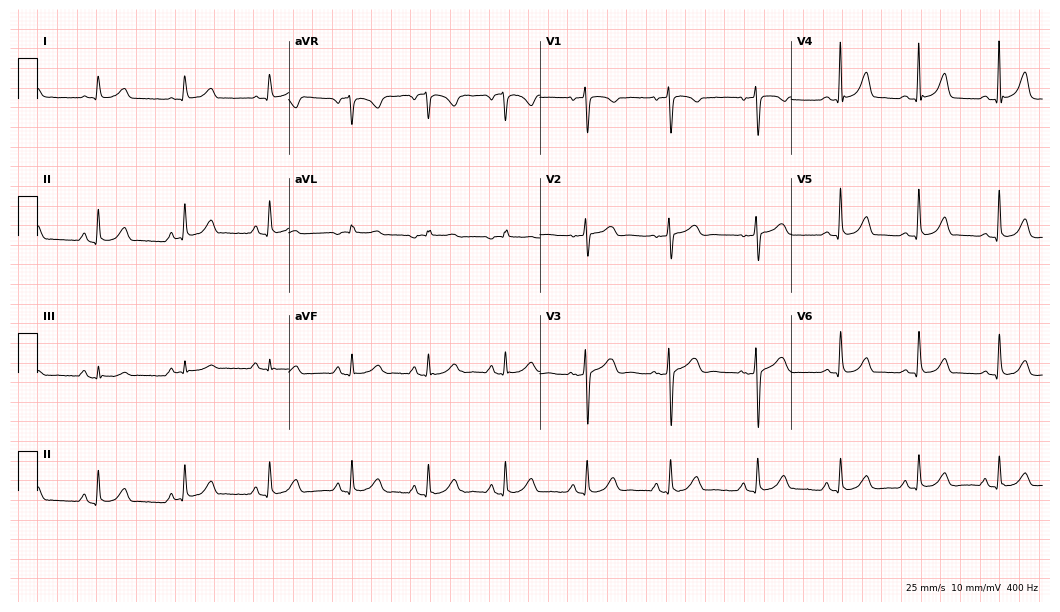
Standard 12-lead ECG recorded from a woman, 40 years old. Read as a normal ECG.